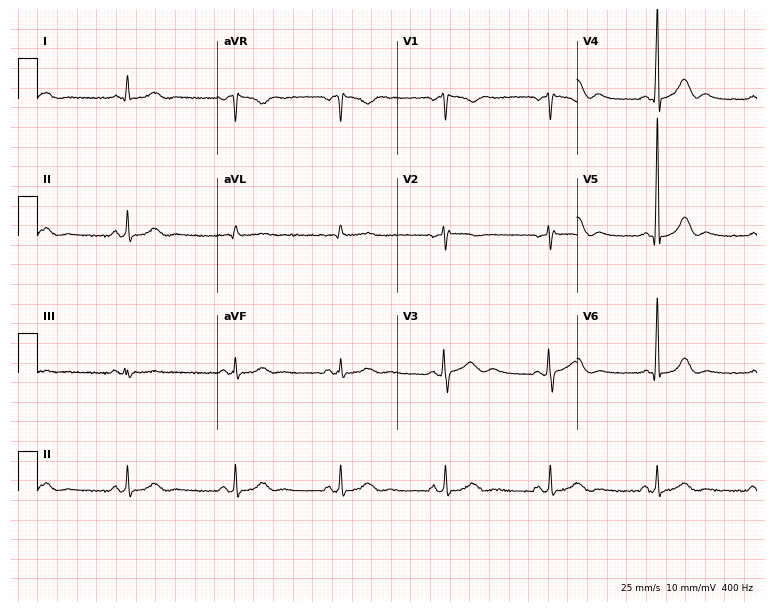
12-lead ECG from a male patient, 52 years old. Recorded interpretation: within normal limits.